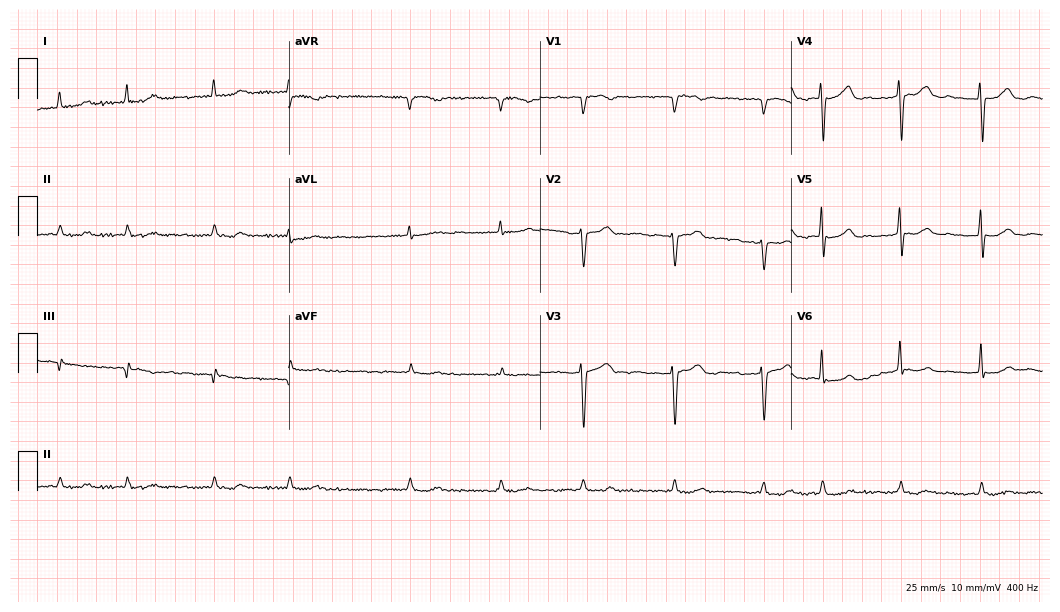
Resting 12-lead electrocardiogram (10.2-second recording at 400 Hz). Patient: an 82-year-old female. None of these six findings is recorded: first-degree AV block, right bundle branch block, left bundle branch block, sinus bradycardia, atrial fibrillation, sinus tachycardia.